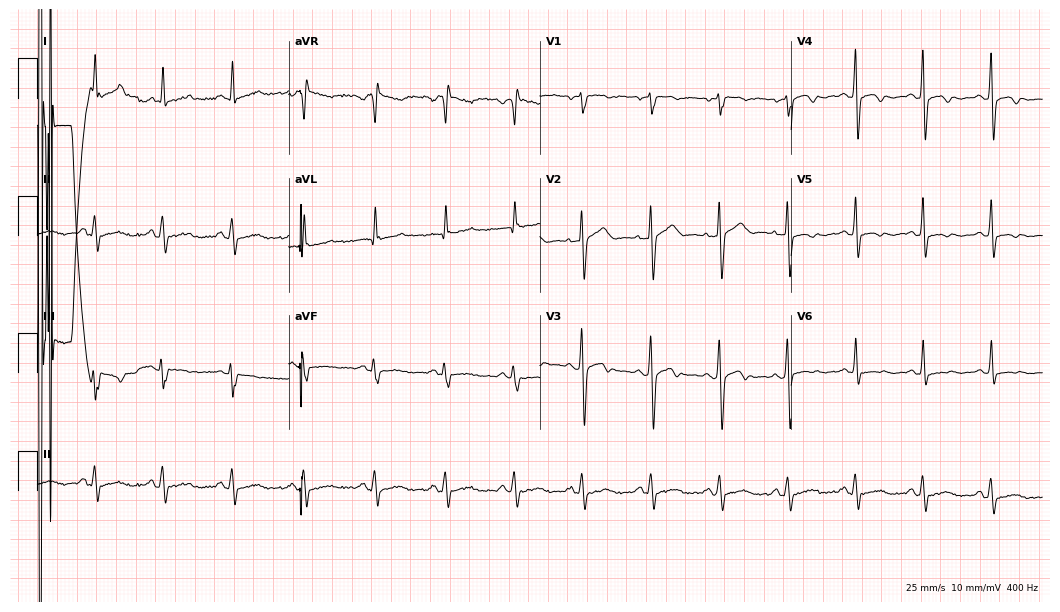
12-lead ECG from a female, 46 years old (10.2-second recording at 400 Hz). No first-degree AV block, right bundle branch block (RBBB), left bundle branch block (LBBB), sinus bradycardia, atrial fibrillation (AF) or sinus tachycardia recorded for this tracing. Only these six findings were labelled.